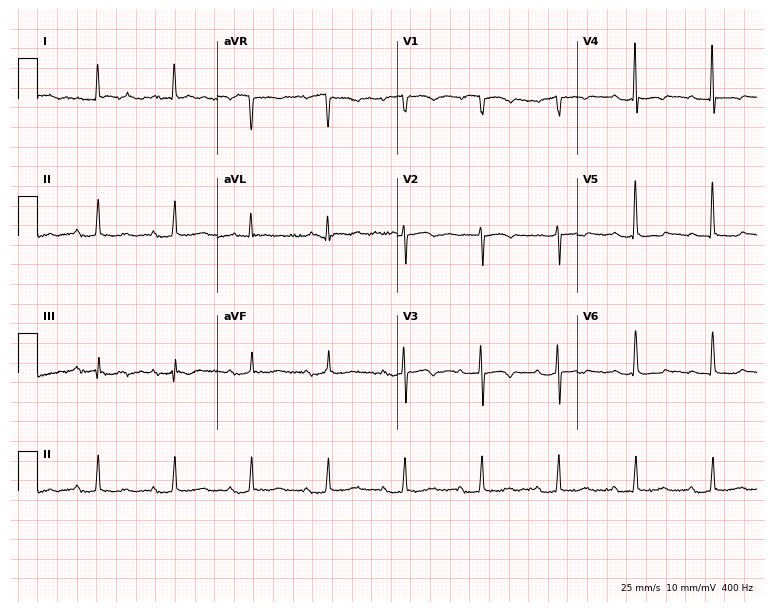
Resting 12-lead electrocardiogram. Patient: a 78-year-old woman. The tracing shows first-degree AV block.